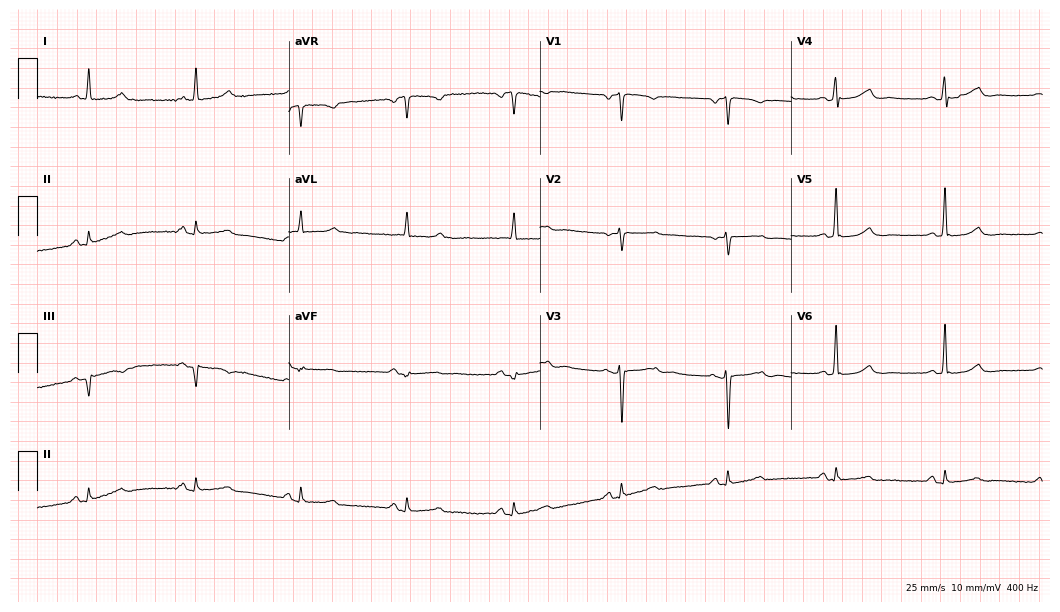
Standard 12-lead ECG recorded from a man, 60 years old (10.2-second recording at 400 Hz). None of these six findings is recorded: first-degree AV block, right bundle branch block, left bundle branch block, sinus bradycardia, atrial fibrillation, sinus tachycardia.